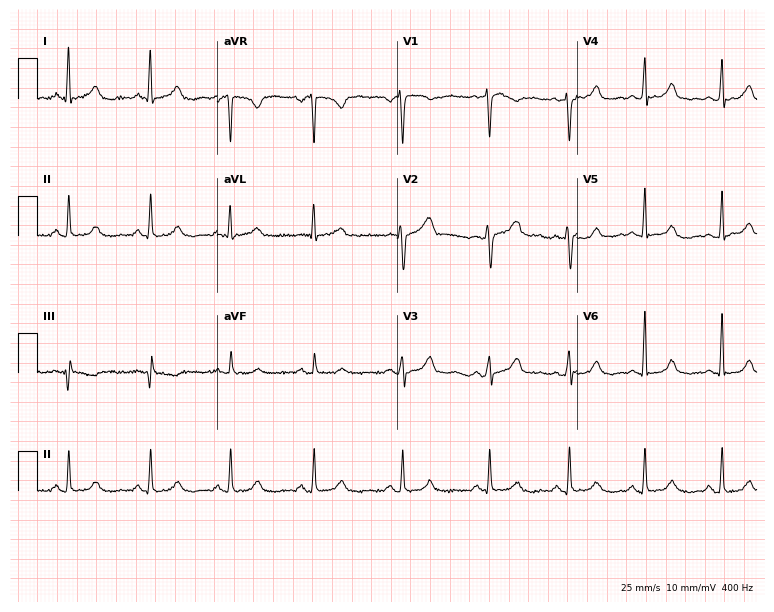
Resting 12-lead electrocardiogram. Patient: a 52-year-old female. Read as a normal ECG.